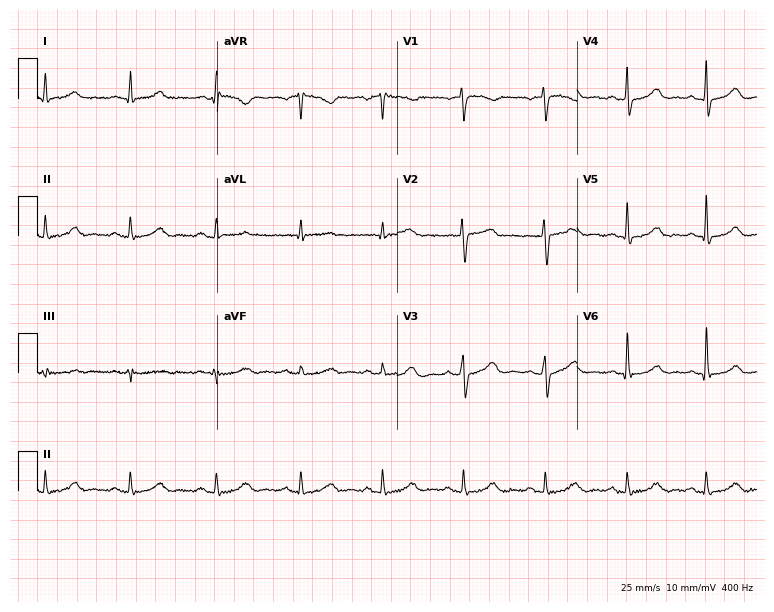
12-lead ECG from a female patient, 46 years old. Recorded interpretation: within normal limits.